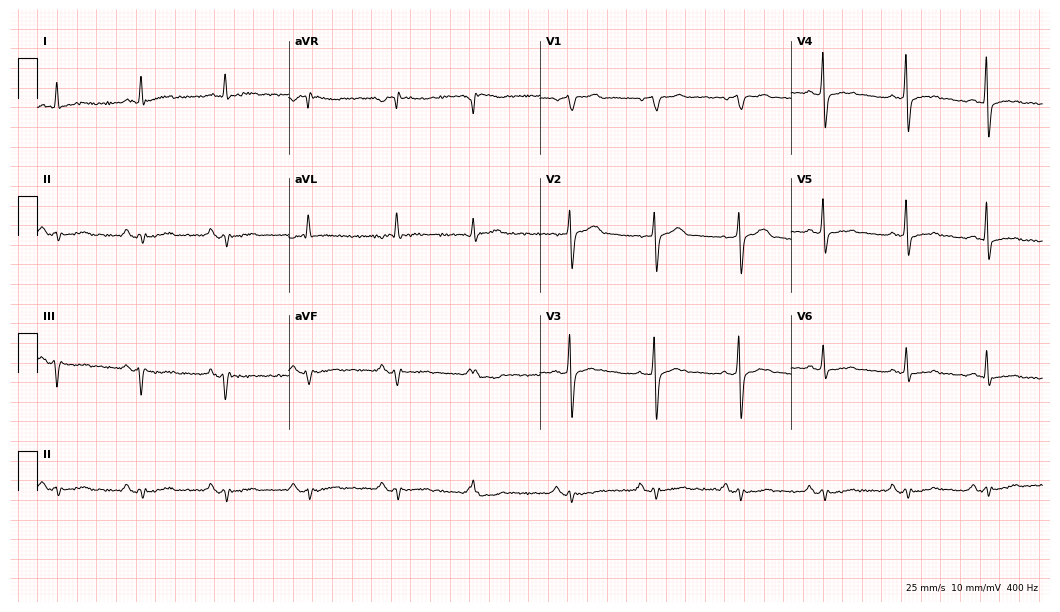
12-lead ECG from a male patient, 68 years old. Screened for six findings — first-degree AV block, right bundle branch block (RBBB), left bundle branch block (LBBB), sinus bradycardia, atrial fibrillation (AF), sinus tachycardia — none is recorded.